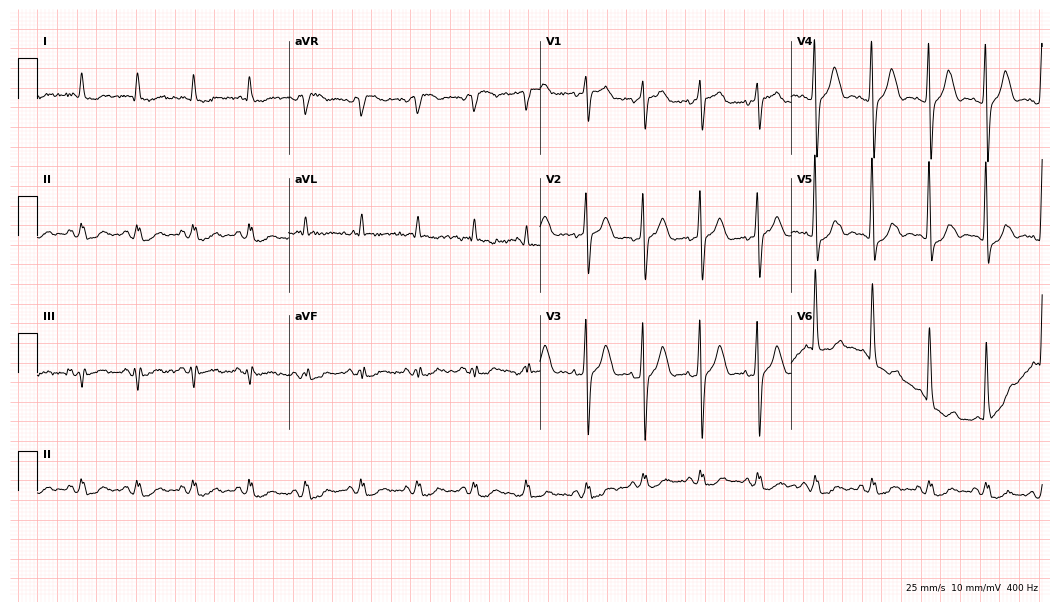
Electrocardiogram (10.2-second recording at 400 Hz), an 82-year-old woman. Interpretation includes sinus tachycardia (a sinus rate of 100 beats per minute or more).